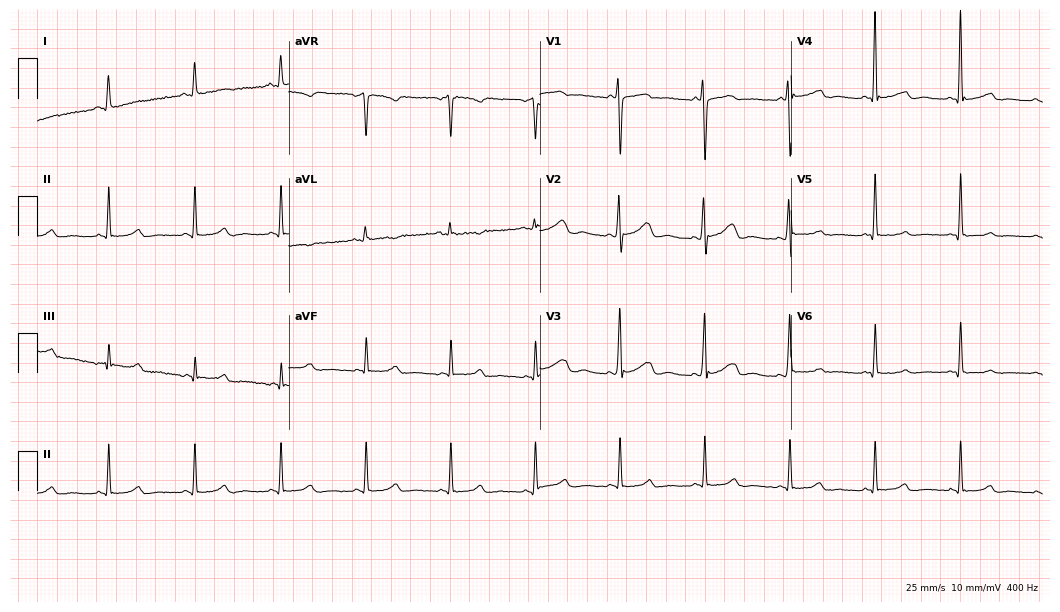
Resting 12-lead electrocardiogram (10.2-second recording at 400 Hz). Patient: a 42-year-old woman. None of these six findings is recorded: first-degree AV block, right bundle branch block, left bundle branch block, sinus bradycardia, atrial fibrillation, sinus tachycardia. Findings outside these six are not listed.